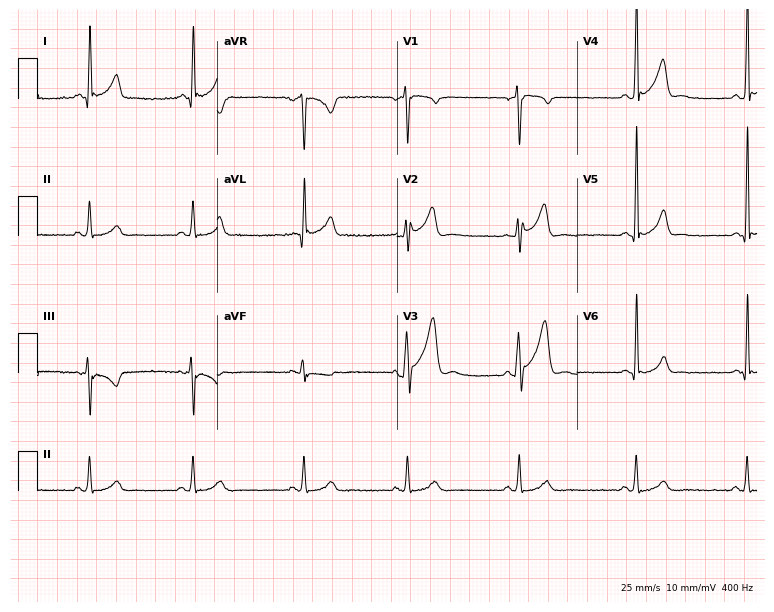
Standard 12-lead ECG recorded from a 34-year-old man (7.3-second recording at 400 Hz). Read as a normal ECG.